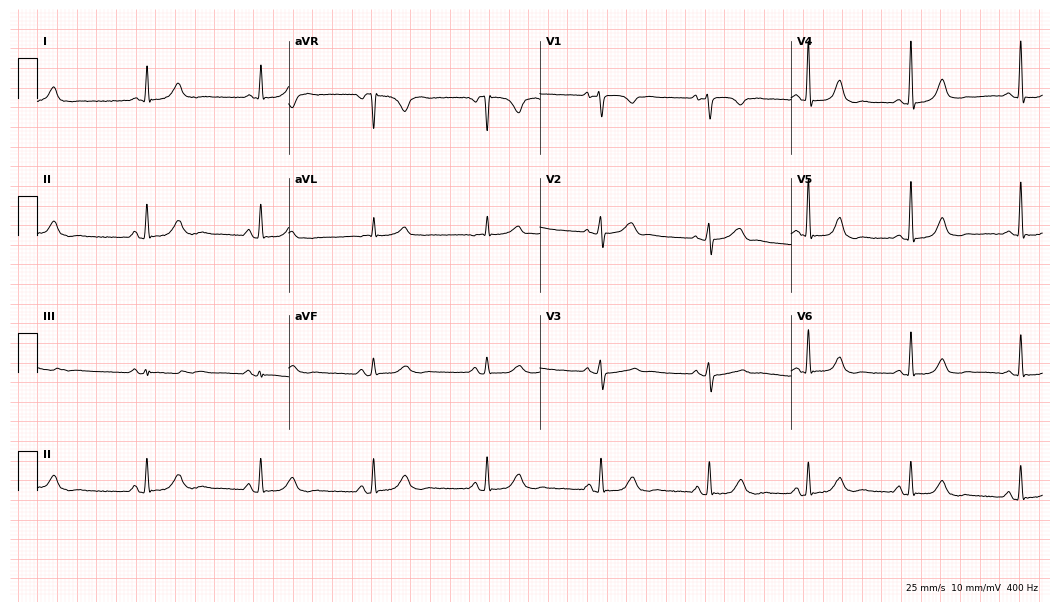
Resting 12-lead electrocardiogram (10.2-second recording at 400 Hz). Patient: a woman, 64 years old. Read as a normal ECG.